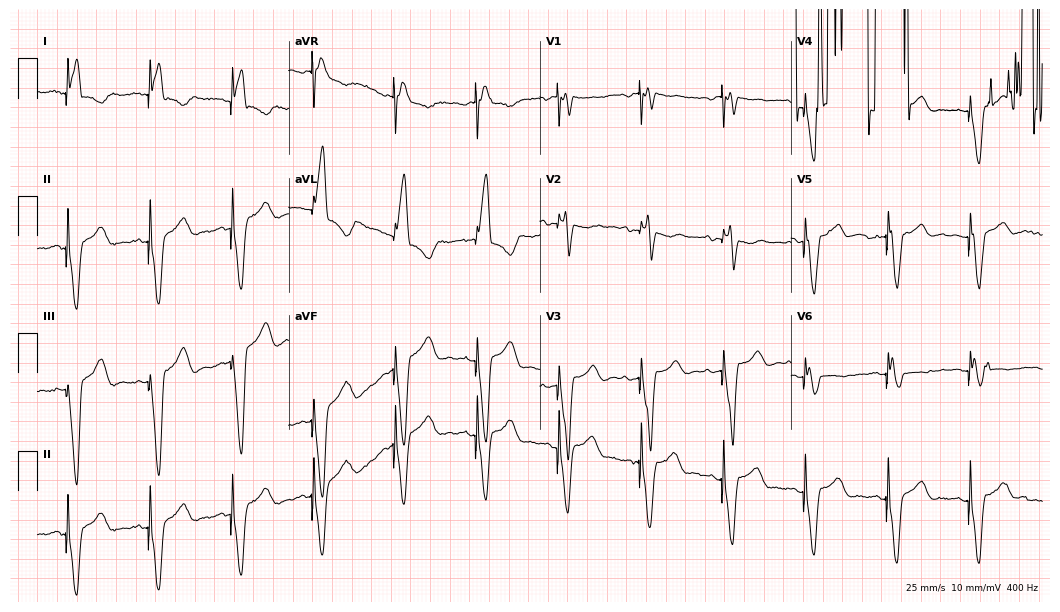
Resting 12-lead electrocardiogram. Patient: a woman, 78 years old. None of these six findings is recorded: first-degree AV block, right bundle branch block (RBBB), left bundle branch block (LBBB), sinus bradycardia, atrial fibrillation (AF), sinus tachycardia. Findings outside these six are not listed.